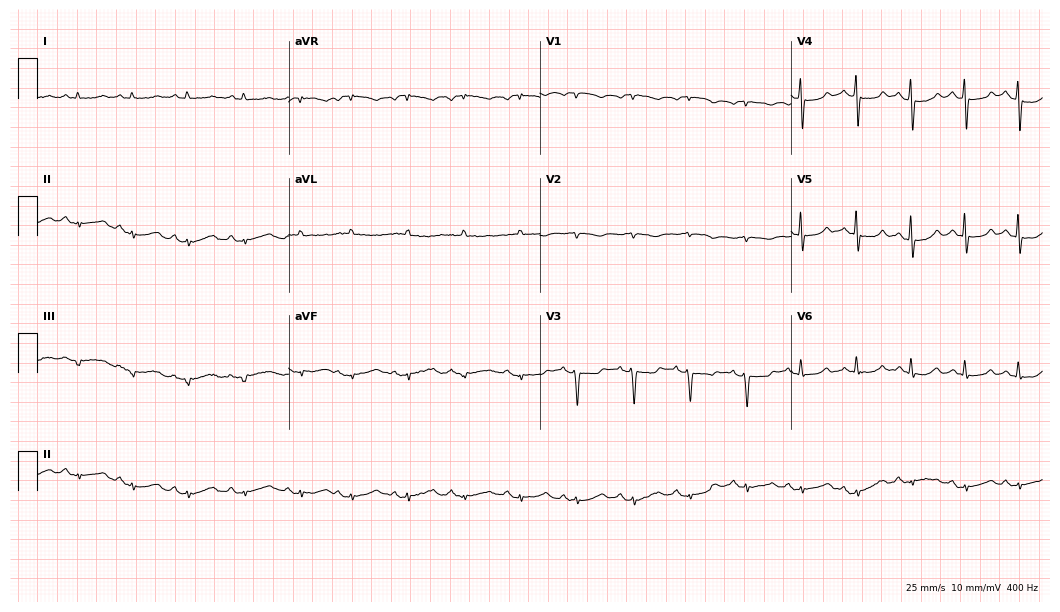
12-lead ECG from a female patient, 78 years old (10.2-second recording at 400 Hz). Shows sinus tachycardia (a sinus rate of 100 beats per minute or more).